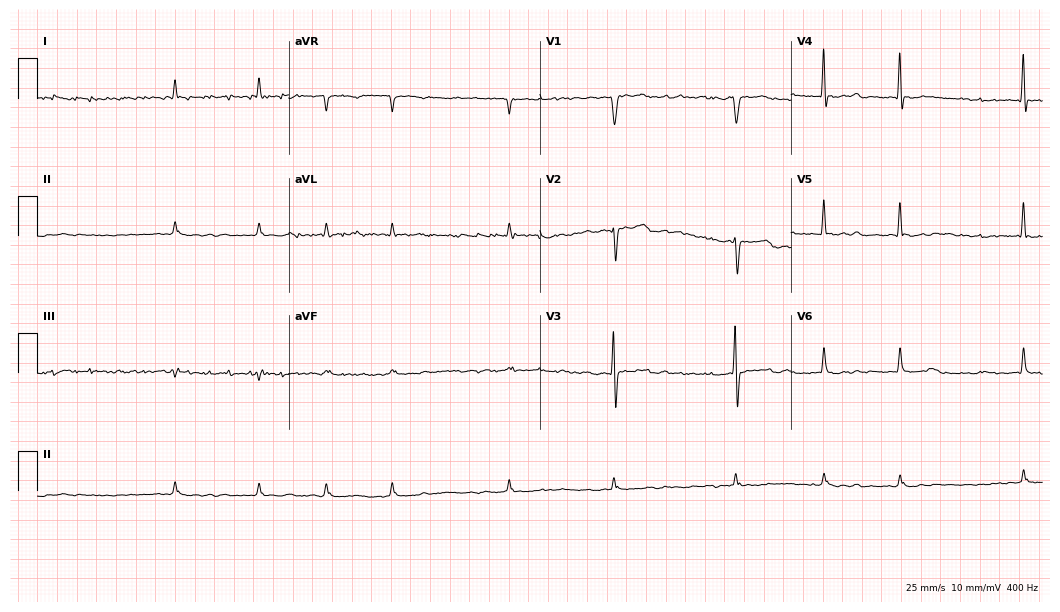
Electrocardiogram, a man, 69 years old. Interpretation includes atrial fibrillation.